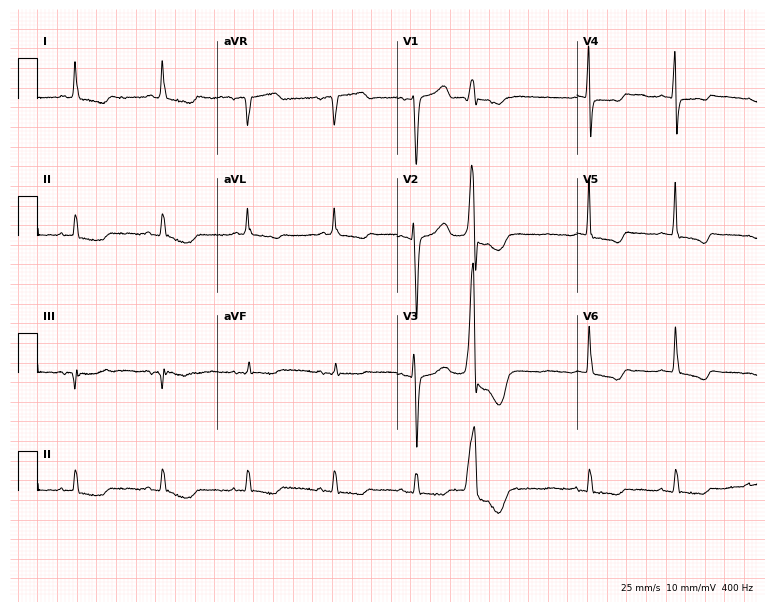
12-lead ECG from a man, 76 years old. No first-degree AV block, right bundle branch block, left bundle branch block, sinus bradycardia, atrial fibrillation or sinus tachycardia recorded for this tracing.